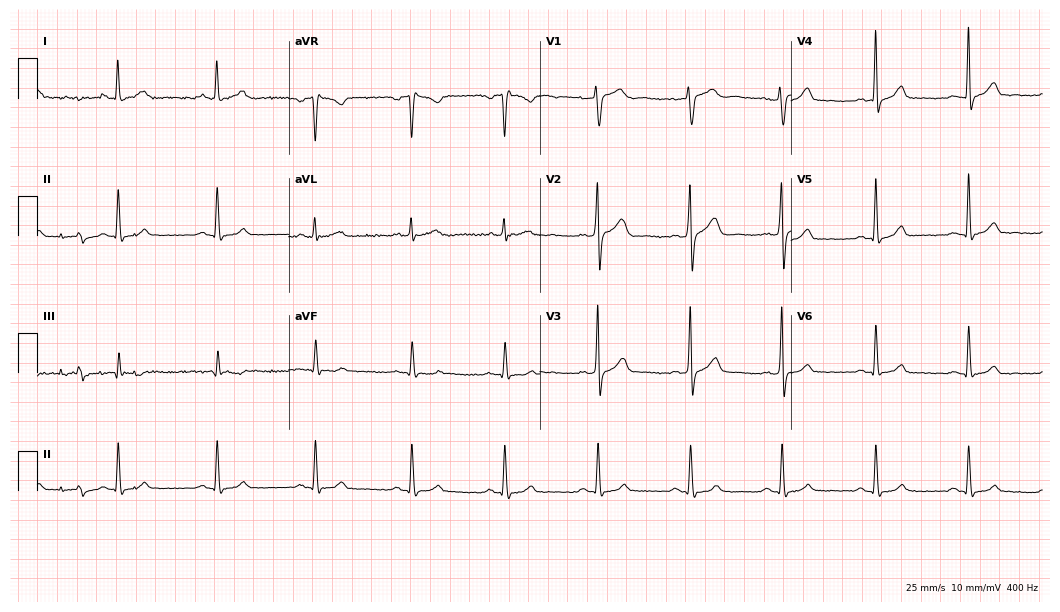
Resting 12-lead electrocardiogram. Patient: a man, 33 years old. None of these six findings is recorded: first-degree AV block, right bundle branch block, left bundle branch block, sinus bradycardia, atrial fibrillation, sinus tachycardia. Other findings, if any, are not listed.